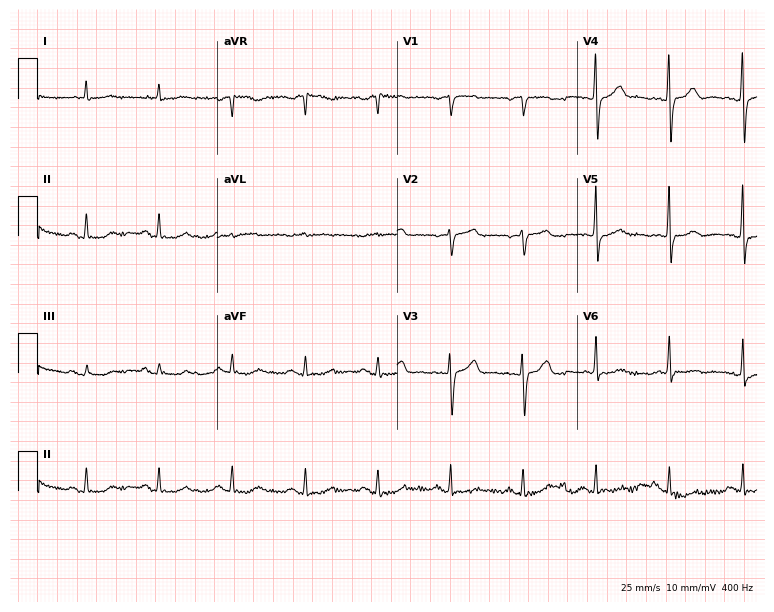
Standard 12-lead ECG recorded from an 83-year-old man. Read as a normal ECG.